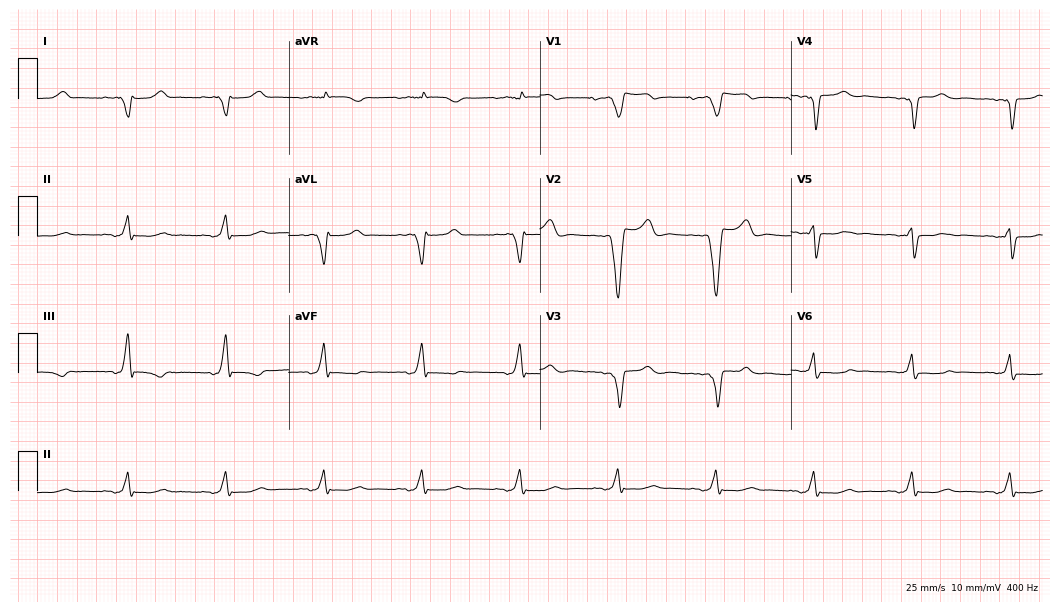
12-lead ECG (10.2-second recording at 400 Hz) from a 77-year-old female. Findings include left bundle branch block.